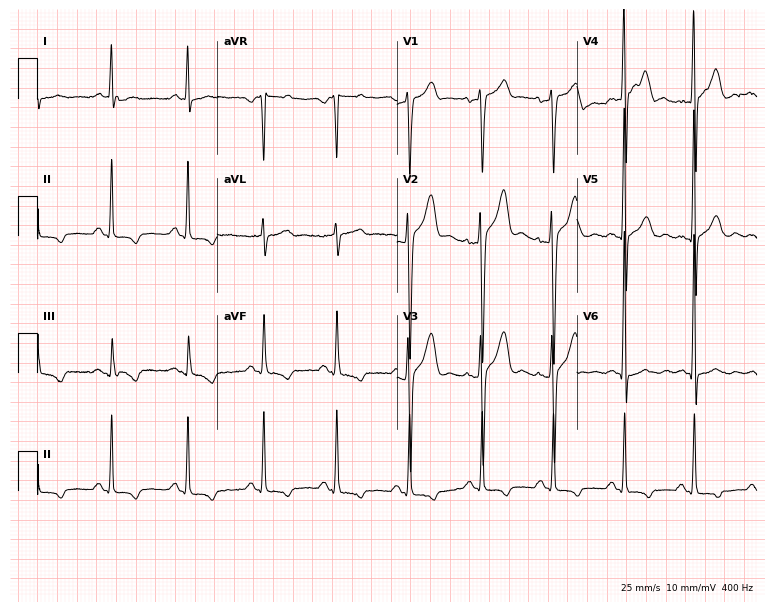
Standard 12-lead ECG recorded from a male patient, 28 years old. None of these six findings is recorded: first-degree AV block, right bundle branch block, left bundle branch block, sinus bradycardia, atrial fibrillation, sinus tachycardia.